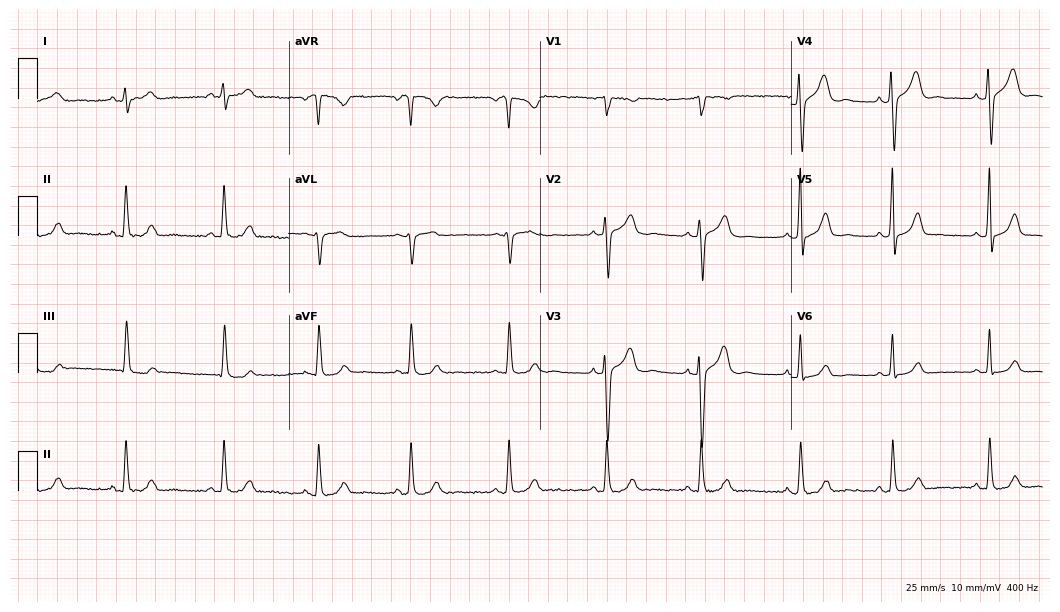
ECG (10.2-second recording at 400 Hz) — a 28-year-old female patient. Labelled as a normal ECG.